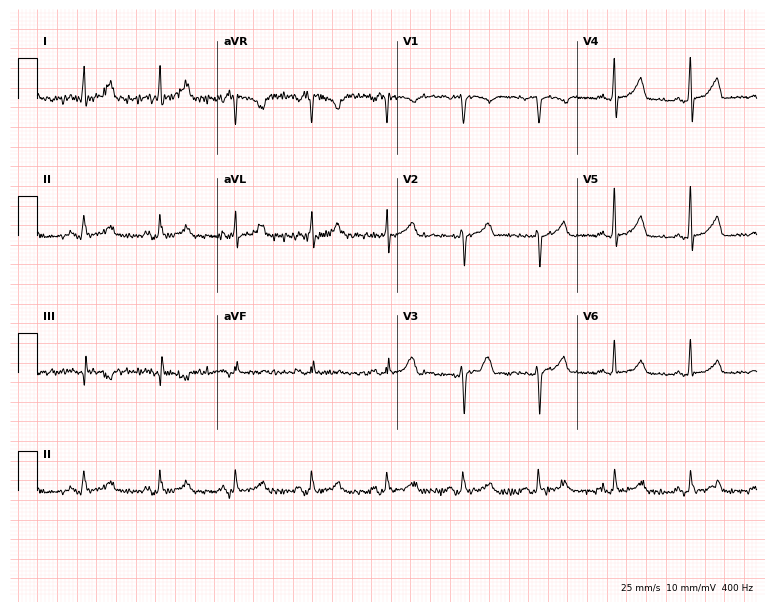
ECG (7.3-second recording at 400 Hz) — a woman, 37 years old. Labelled as a normal ECG.